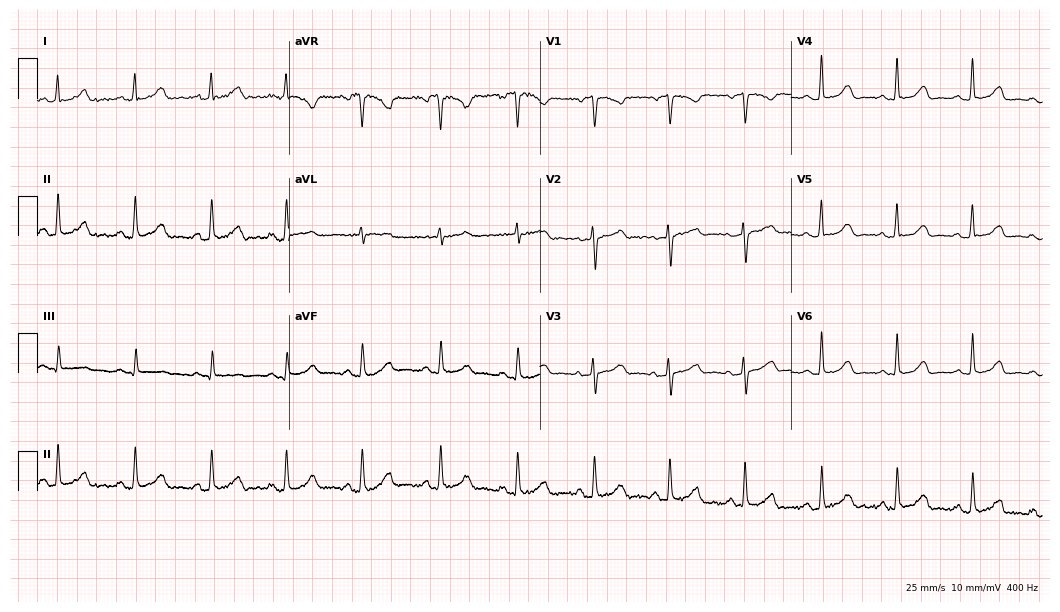
12-lead ECG from a 42-year-old female patient. No first-degree AV block, right bundle branch block, left bundle branch block, sinus bradycardia, atrial fibrillation or sinus tachycardia recorded for this tracing.